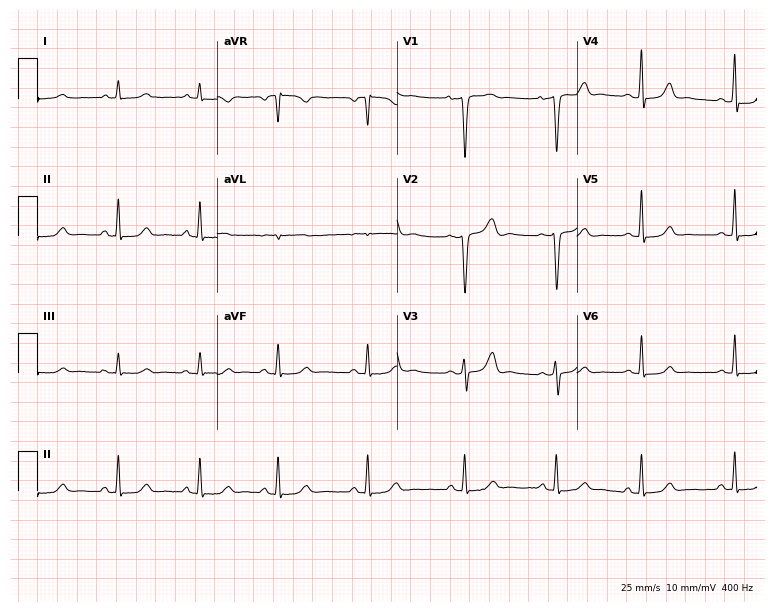
Resting 12-lead electrocardiogram. Patient: a 43-year-old female. None of these six findings is recorded: first-degree AV block, right bundle branch block, left bundle branch block, sinus bradycardia, atrial fibrillation, sinus tachycardia.